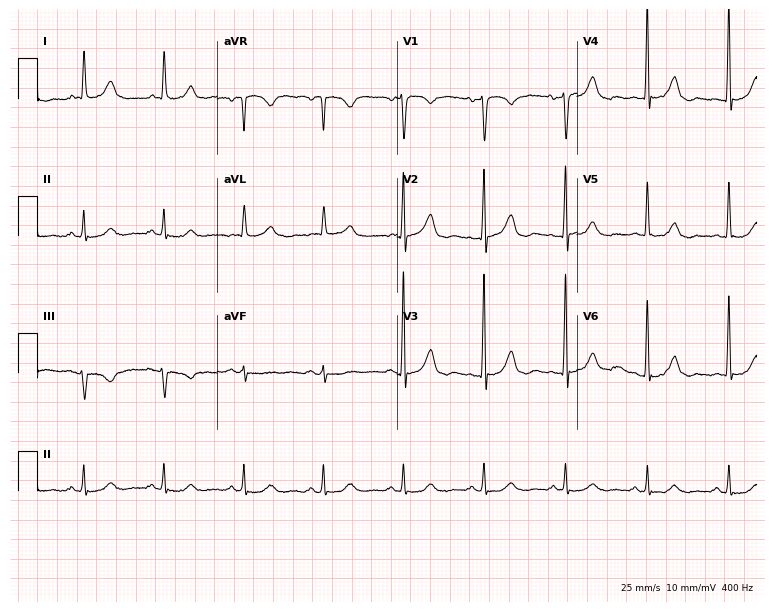
12-lead ECG from a male, 72 years old (7.3-second recording at 400 Hz). Recorded interpretation: within normal limits.